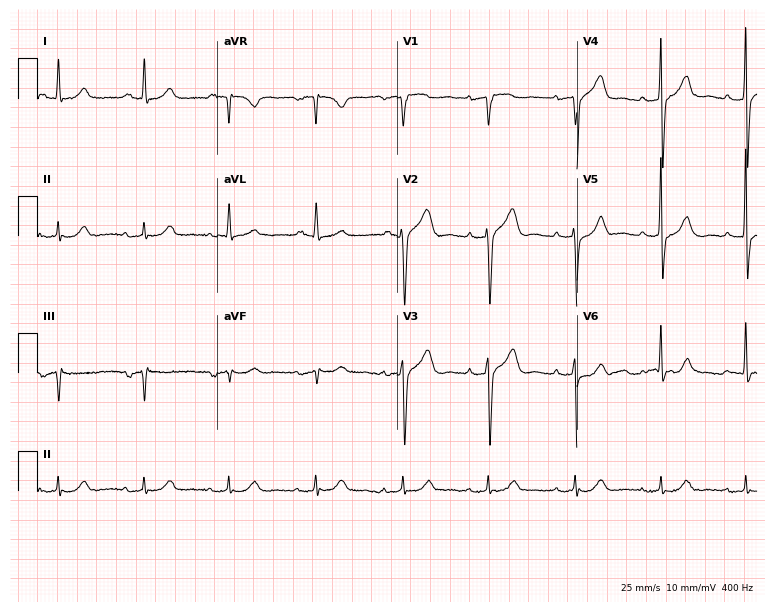
Standard 12-lead ECG recorded from a 77-year-old male. The tracing shows first-degree AV block.